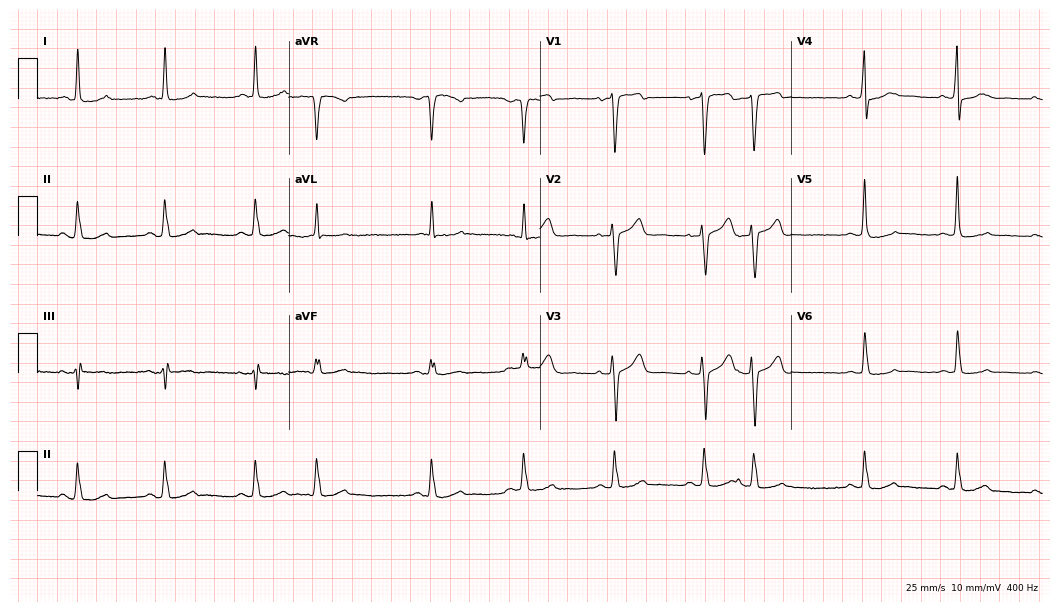
ECG — a 63-year-old female patient. Screened for six findings — first-degree AV block, right bundle branch block, left bundle branch block, sinus bradycardia, atrial fibrillation, sinus tachycardia — none is recorded.